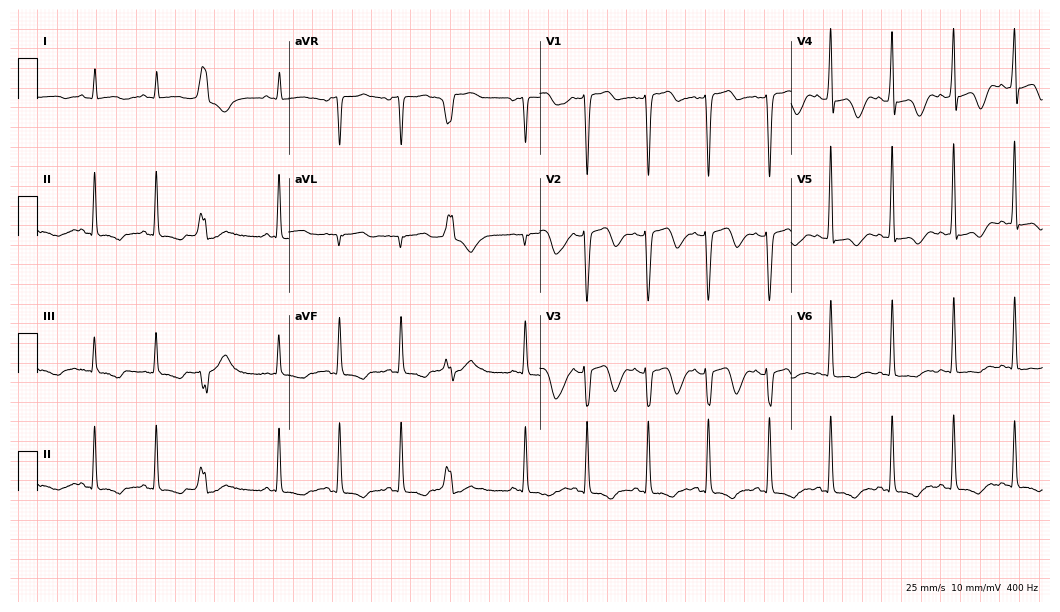
12-lead ECG from a man, 49 years old. Screened for six findings — first-degree AV block, right bundle branch block, left bundle branch block, sinus bradycardia, atrial fibrillation, sinus tachycardia — none is recorded. Other findings, if any, are not listed.